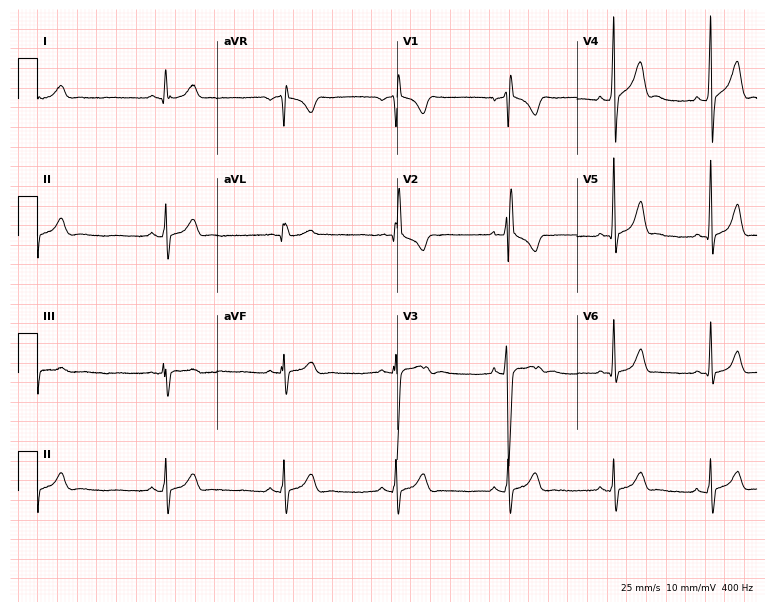
Resting 12-lead electrocardiogram. Patient: a 19-year-old man. None of these six findings is recorded: first-degree AV block, right bundle branch block, left bundle branch block, sinus bradycardia, atrial fibrillation, sinus tachycardia. Findings outside these six are not listed.